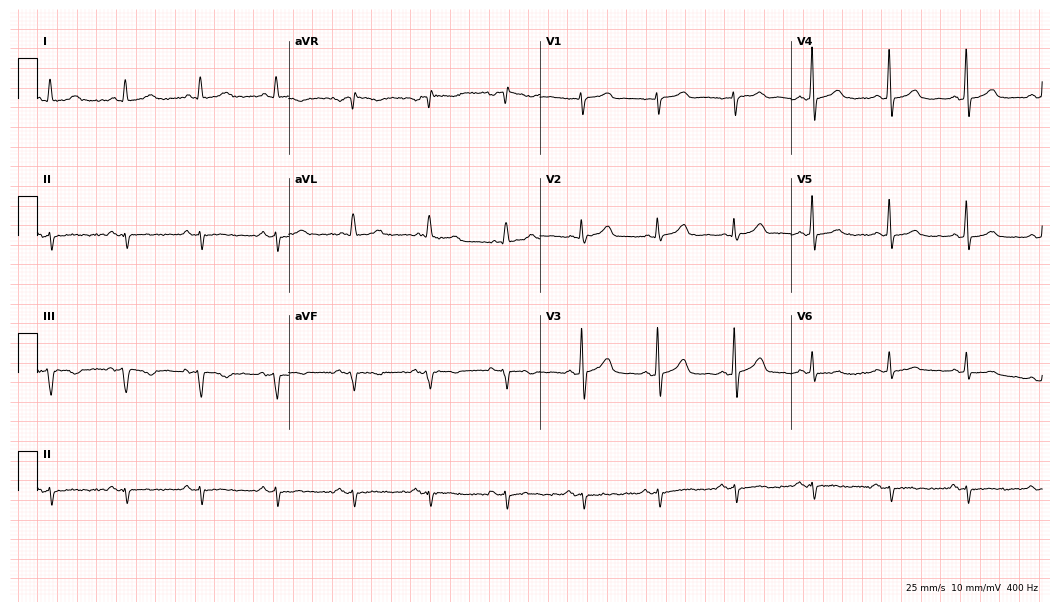
Electrocardiogram, a 62-year-old woman. Of the six screened findings (first-degree AV block, right bundle branch block (RBBB), left bundle branch block (LBBB), sinus bradycardia, atrial fibrillation (AF), sinus tachycardia), none is recorded.